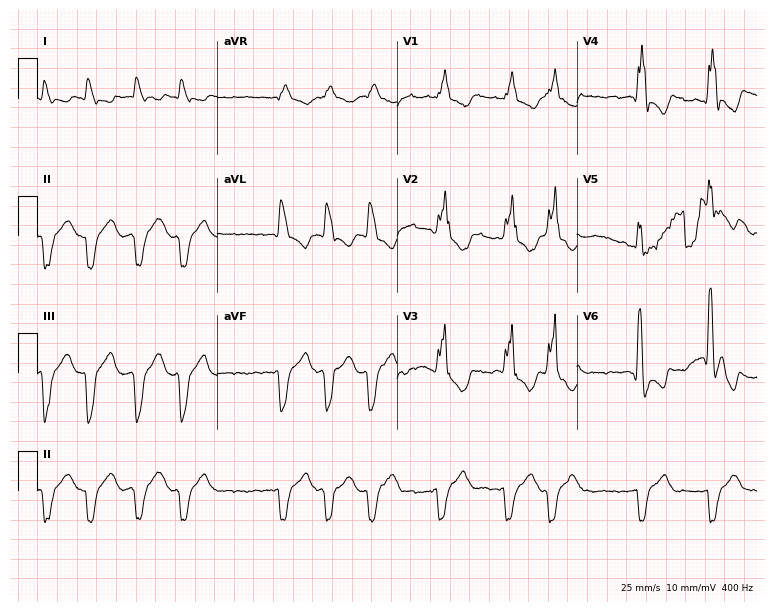
12-lead ECG from a male patient, 53 years old. Shows right bundle branch block (RBBB), atrial fibrillation (AF).